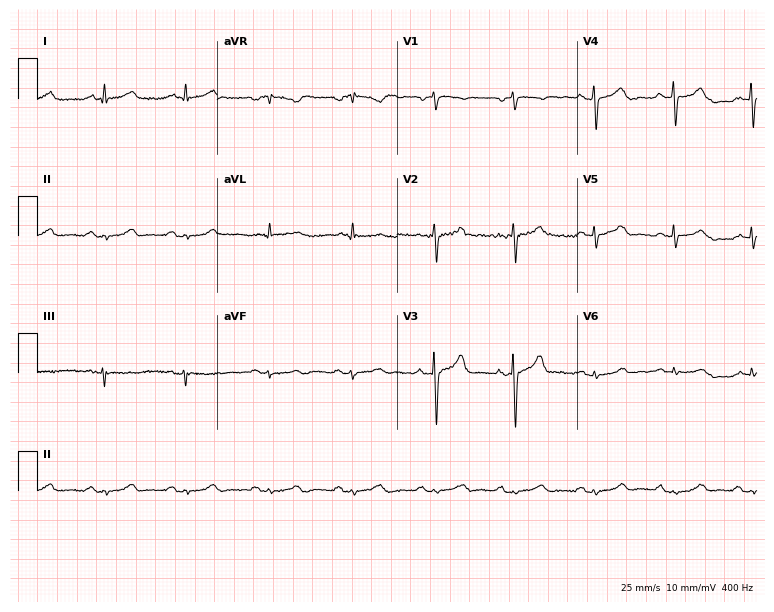
Standard 12-lead ECG recorded from a male patient, 61 years old (7.3-second recording at 400 Hz). Read as a normal ECG.